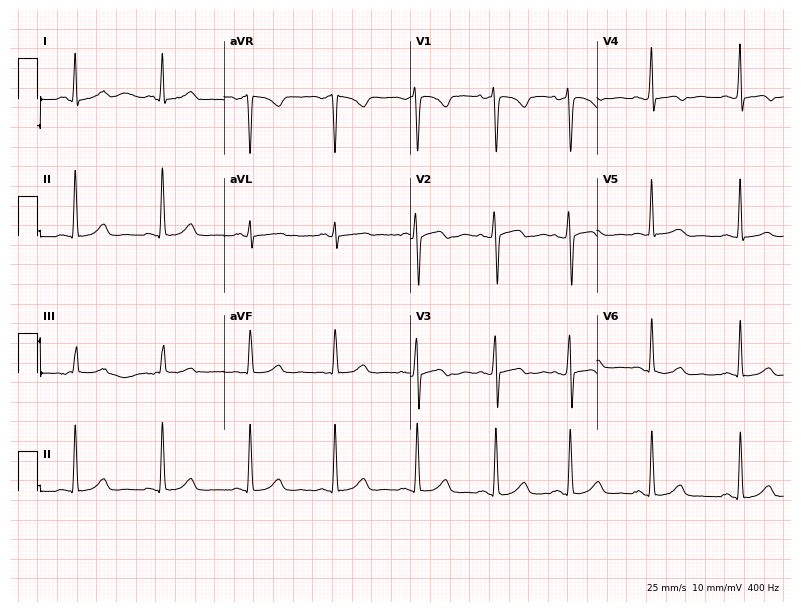
Standard 12-lead ECG recorded from a 28-year-old female patient. Read as a normal ECG.